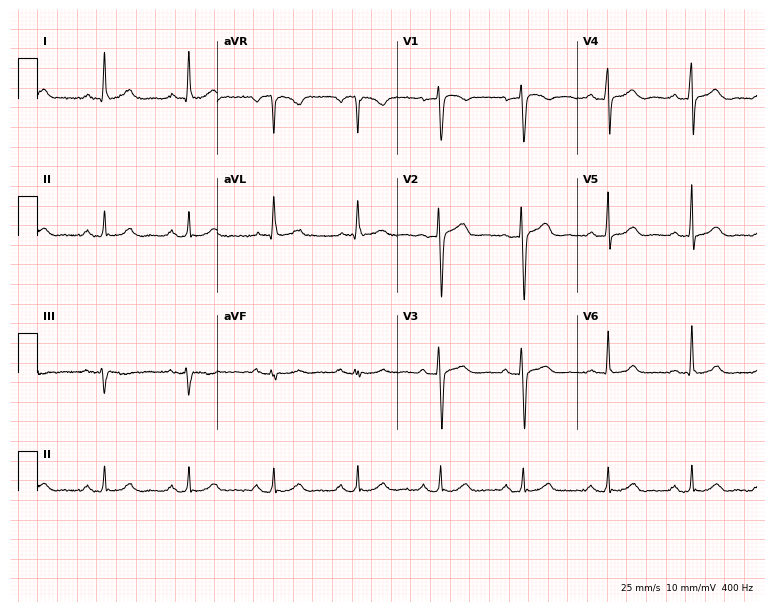
Standard 12-lead ECG recorded from a male patient, 55 years old. Read as a normal ECG.